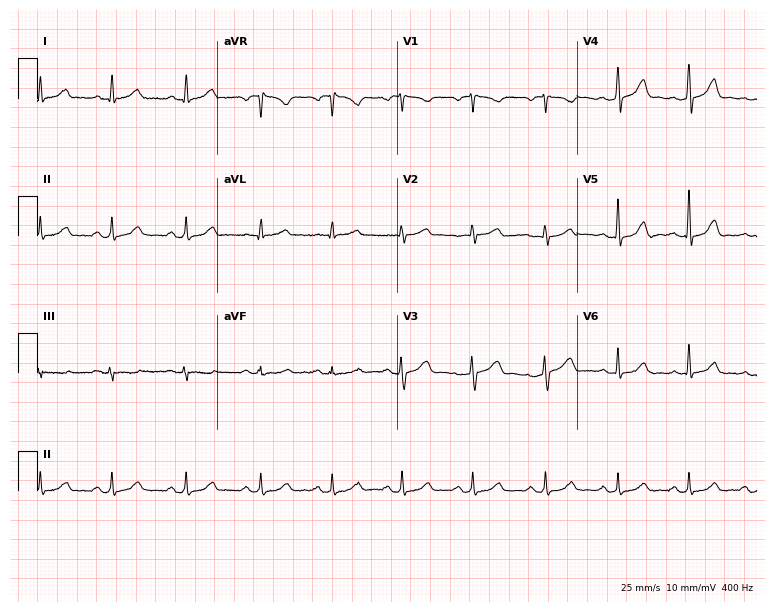
12-lead ECG from a 44-year-old woman. Recorded interpretation: within normal limits.